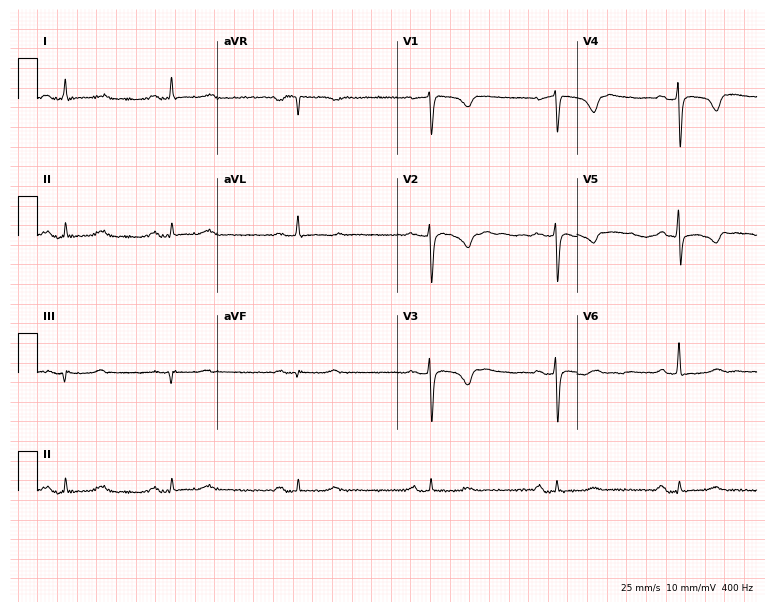
ECG — a 55-year-old female. Findings include sinus bradycardia (a sinus rate of 50 beats per minute or less).